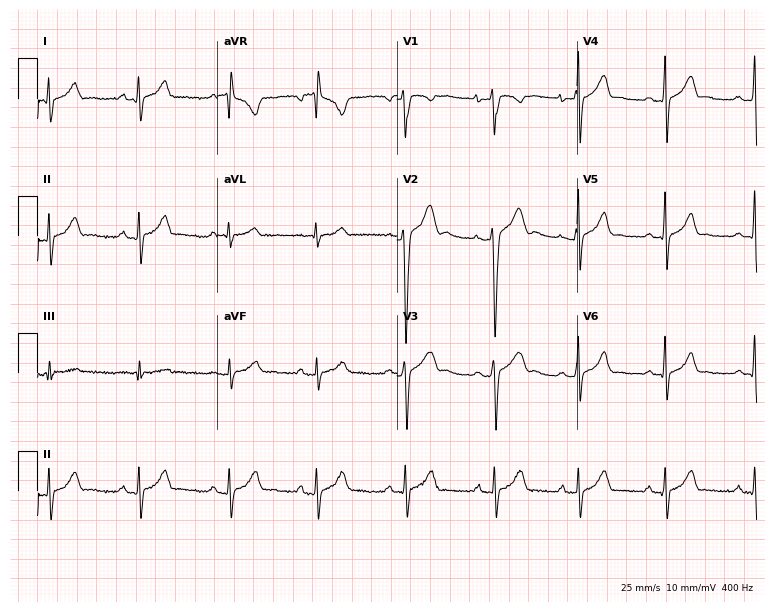
Electrocardiogram, a man, 18 years old. Overall reading on record: normal ECG.